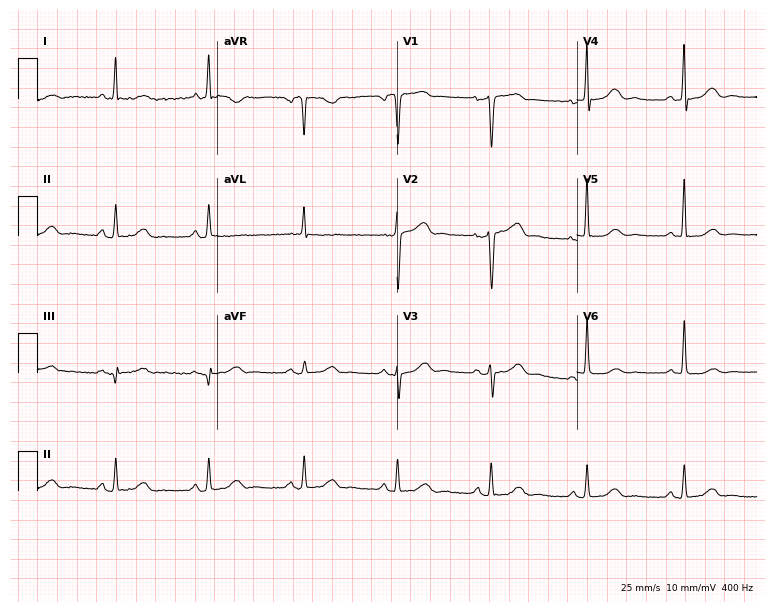
Standard 12-lead ECG recorded from a 62-year-old woman (7.3-second recording at 400 Hz). None of these six findings is recorded: first-degree AV block, right bundle branch block, left bundle branch block, sinus bradycardia, atrial fibrillation, sinus tachycardia.